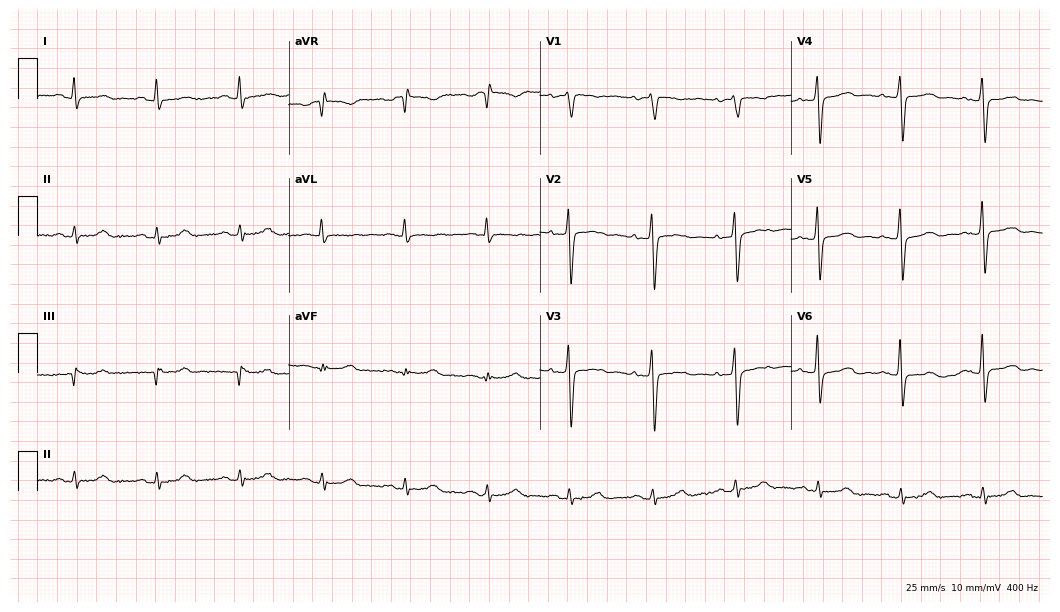
Electrocardiogram (10.2-second recording at 400 Hz), a 69-year-old man. Of the six screened findings (first-degree AV block, right bundle branch block (RBBB), left bundle branch block (LBBB), sinus bradycardia, atrial fibrillation (AF), sinus tachycardia), none is recorded. Other findings, if any, are not listed.